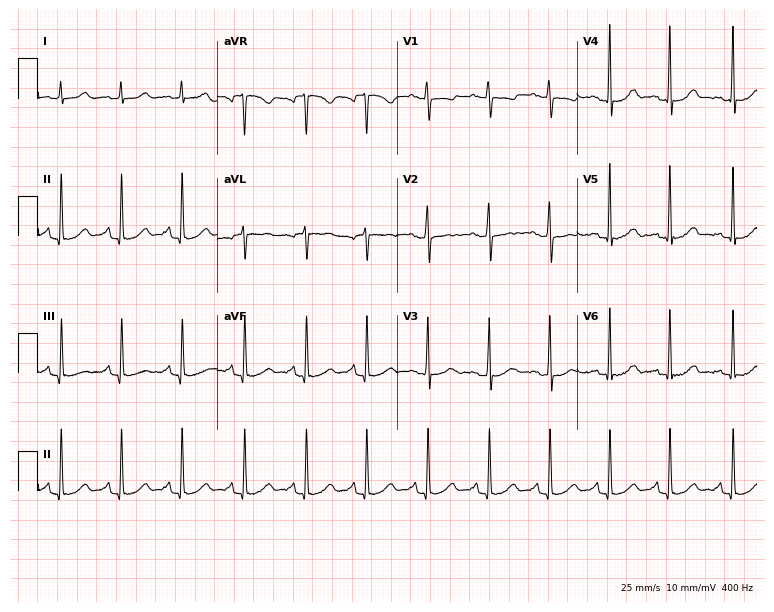
Standard 12-lead ECG recorded from a 17-year-old female patient (7.3-second recording at 400 Hz). None of these six findings is recorded: first-degree AV block, right bundle branch block, left bundle branch block, sinus bradycardia, atrial fibrillation, sinus tachycardia.